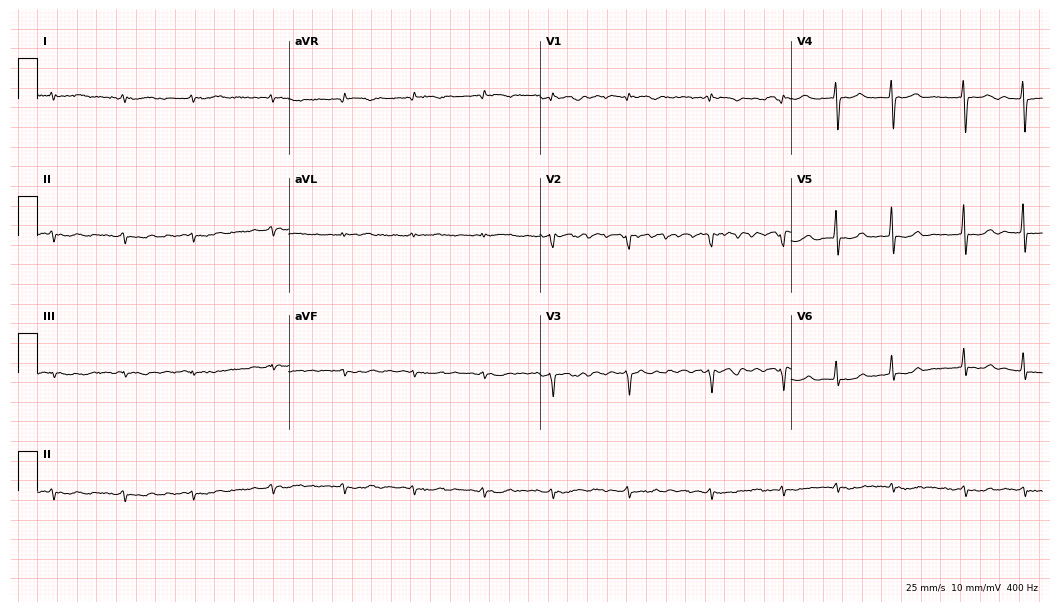
Standard 12-lead ECG recorded from a 59-year-old woman. None of these six findings is recorded: first-degree AV block, right bundle branch block, left bundle branch block, sinus bradycardia, atrial fibrillation, sinus tachycardia. Findings outside these six are not listed.